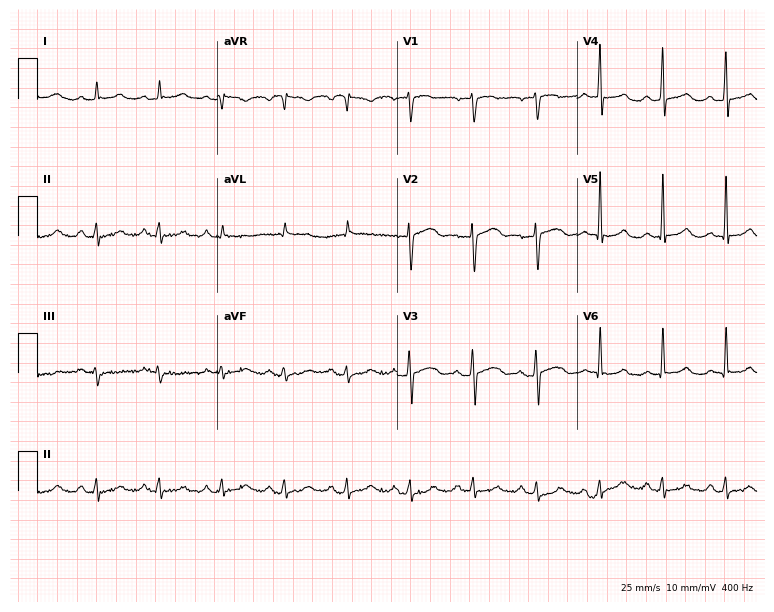
Standard 12-lead ECG recorded from a male patient, 75 years old. Read as a normal ECG.